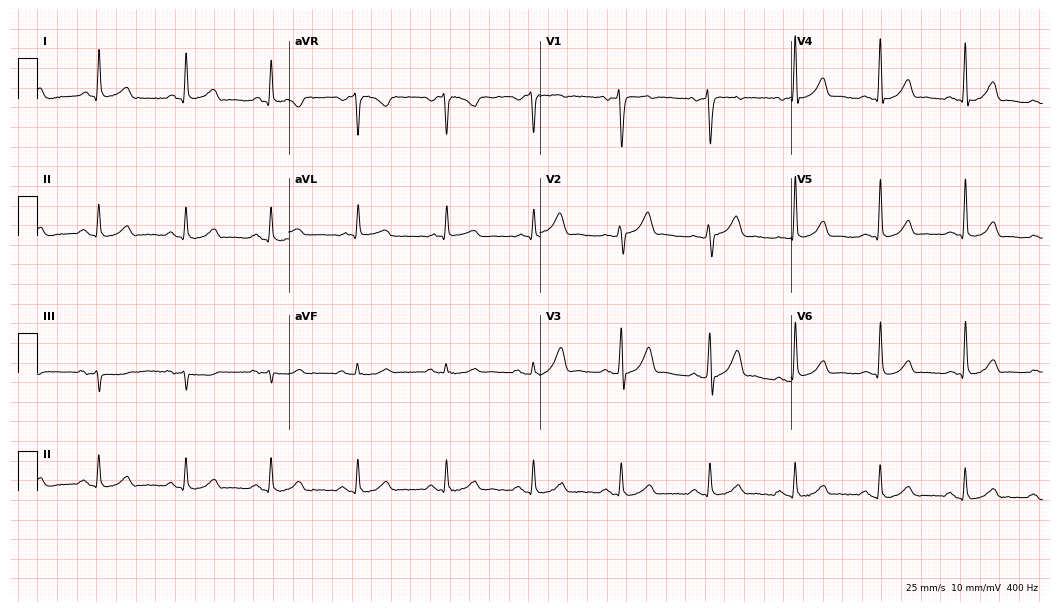
Resting 12-lead electrocardiogram. Patient: a man, 48 years old. Read as a normal ECG.